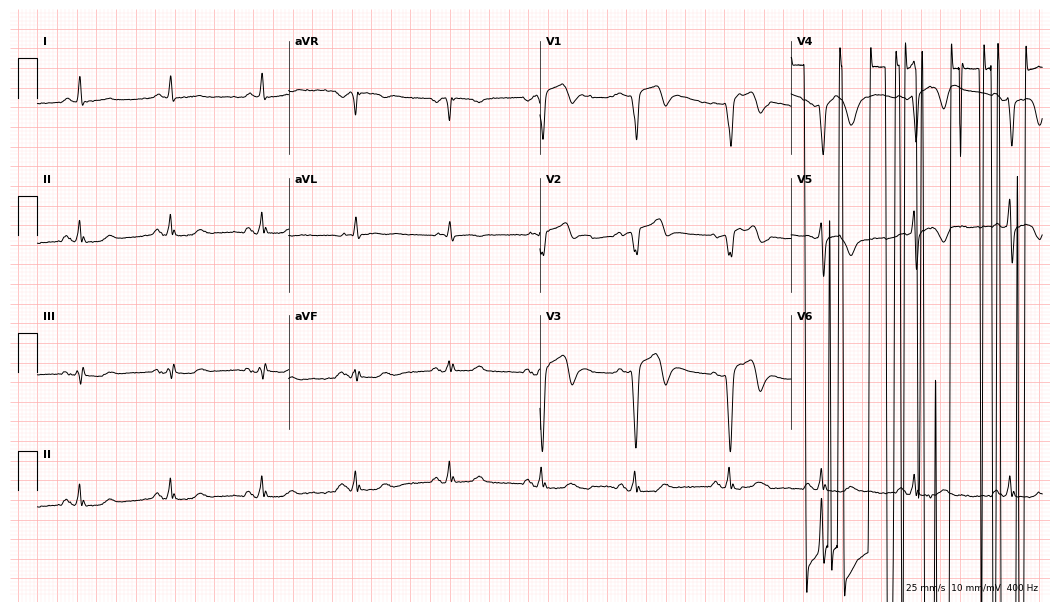
Electrocardiogram, a 59-year-old male patient. Of the six screened findings (first-degree AV block, right bundle branch block, left bundle branch block, sinus bradycardia, atrial fibrillation, sinus tachycardia), none is recorded.